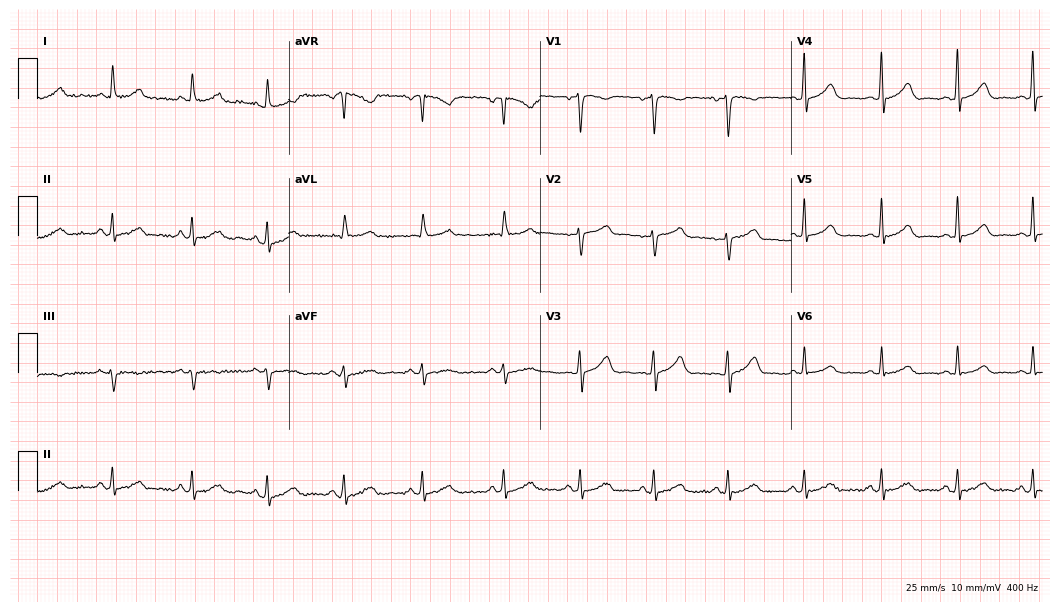
Electrocardiogram (10.2-second recording at 400 Hz), a 50-year-old female. Overall reading on record: normal ECG.